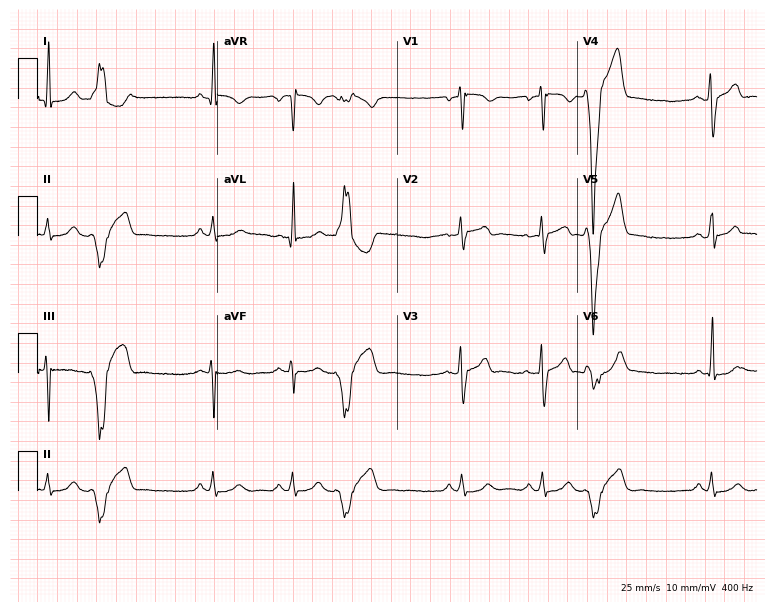
12-lead ECG (7.3-second recording at 400 Hz) from a 38-year-old female. Screened for six findings — first-degree AV block, right bundle branch block (RBBB), left bundle branch block (LBBB), sinus bradycardia, atrial fibrillation (AF), sinus tachycardia — none is recorded.